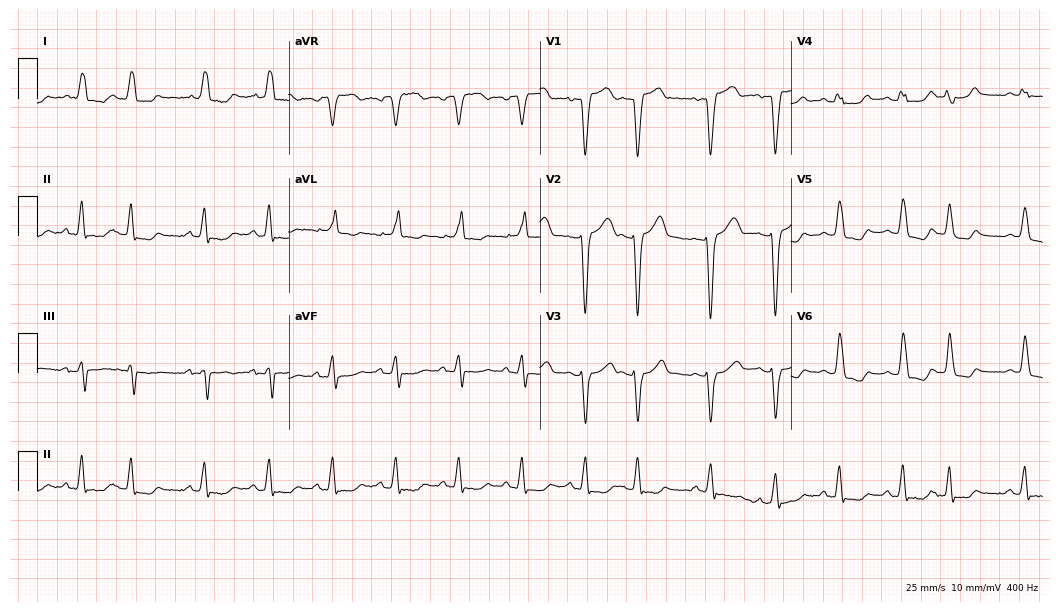
ECG (10.2-second recording at 400 Hz) — an 81-year-old woman. Findings include left bundle branch block.